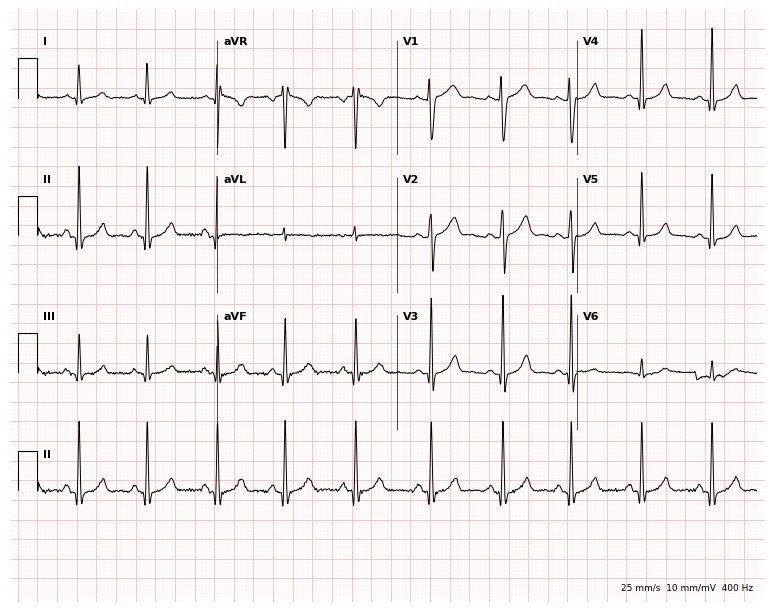
Standard 12-lead ECG recorded from a woman, 18 years old (7.3-second recording at 400 Hz). Read as a normal ECG.